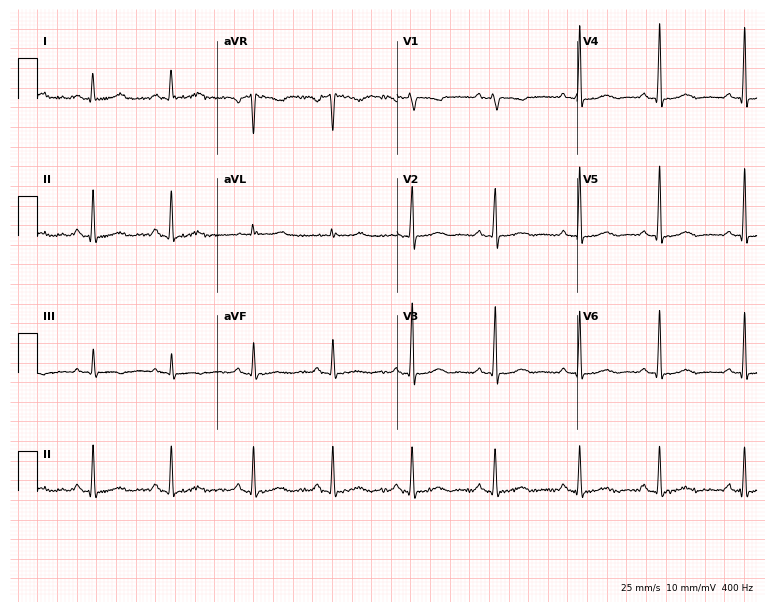
Electrocardiogram, a female, 44 years old. Overall reading on record: normal ECG.